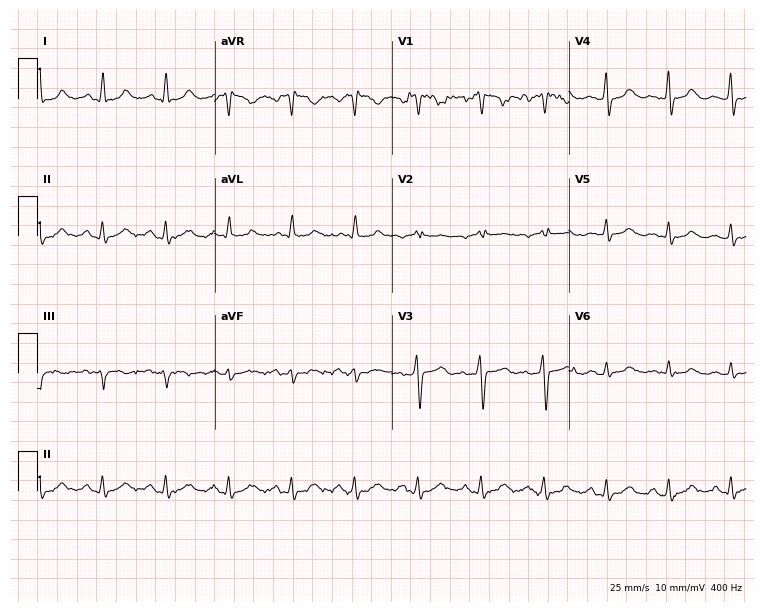
Electrocardiogram, a female, 30 years old. Overall reading on record: normal ECG.